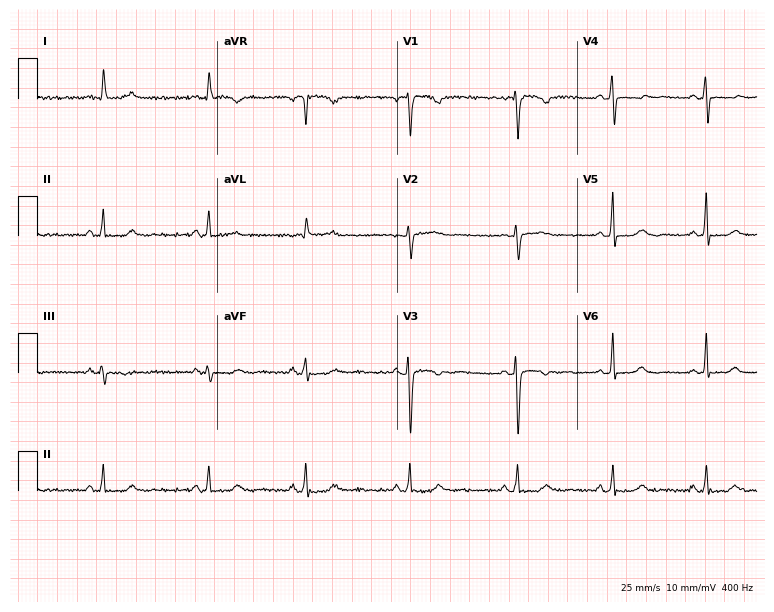
ECG (7.3-second recording at 400 Hz) — a female, 44 years old. Screened for six findings — first-degree AV block, right bundle branch block (RBBB), left bundle branch block (LBBB), sinus bradycardia, atrial fibrillation (AF), sinus tachycardia — none is recorded. Findings outside these six are not listed.